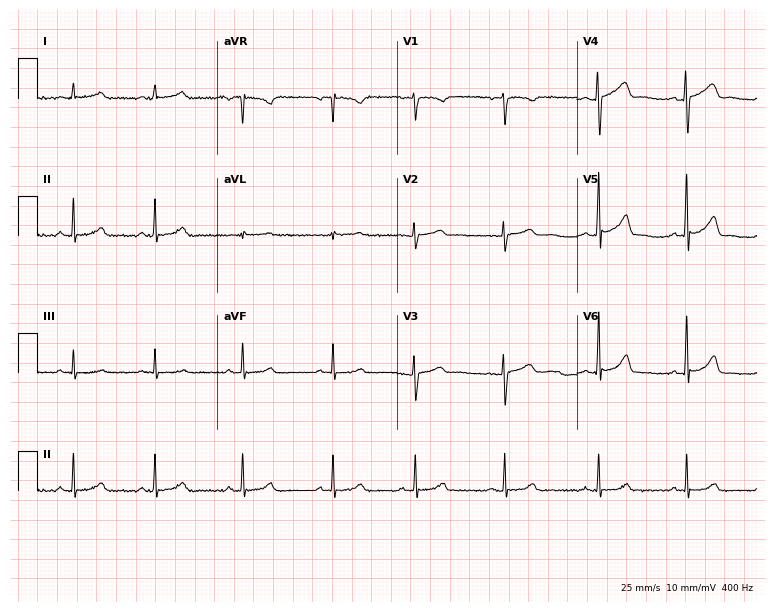
Resting 12-lead electrocardiogram (7.3-second recording at 400 Hz). Patient: a female, 26 years old. Read as a normal ECG.